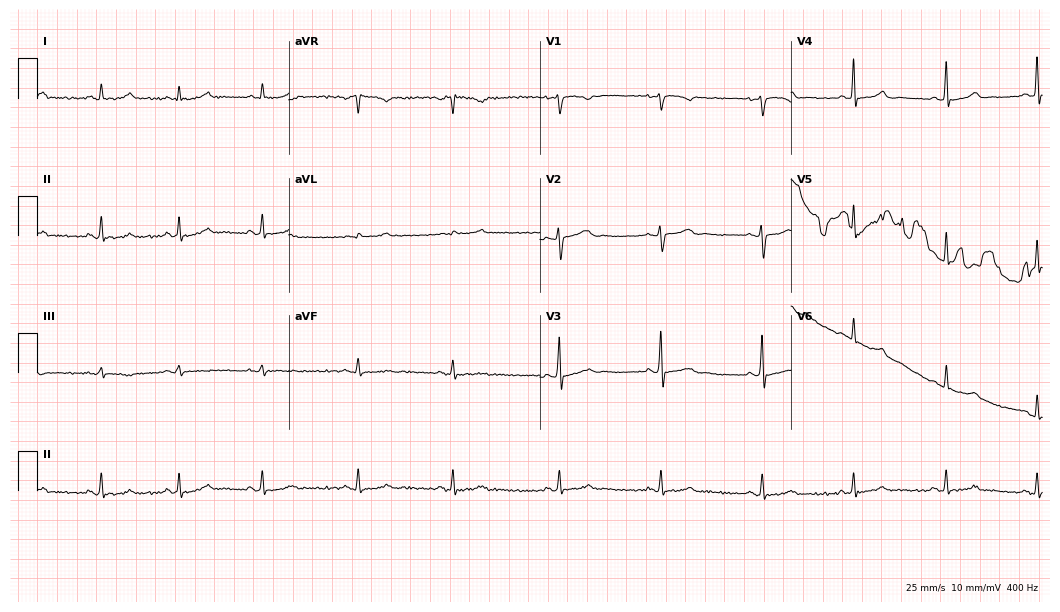
Resting 12-lead electrocardiogram (10.2-second recording at 400 Hz). Patient: a 41-year-old woman. None of these six findings is recorded: first-degree AV block, right bundle branch block, left bundle branch block, sinus bradycardia, atrial fibrillation, sinus tachycardia.